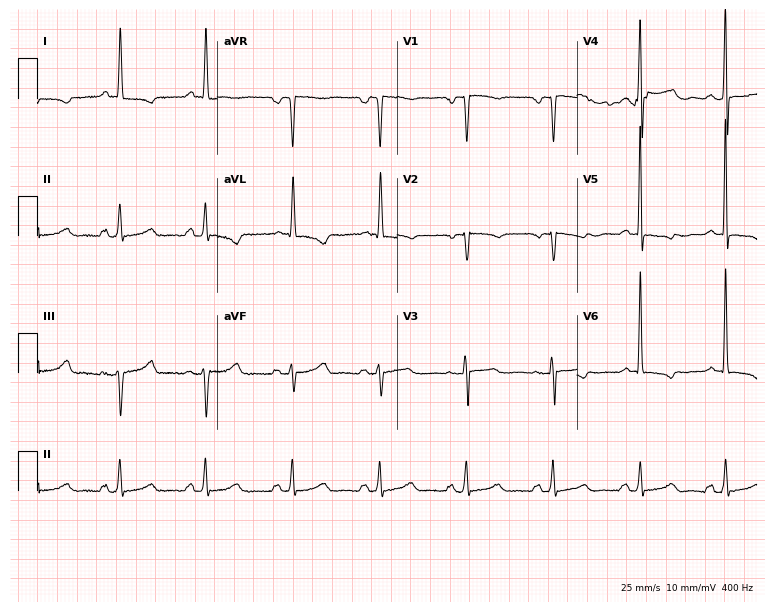
Resting 12-lead electrocardiogram. Patient: a 44-year-old female. None of these six findings is recorded: first-degree AV block, right bundle branch block (RBBB), left bundle branch block (LBBB), sinus bradycardia, atrial fibrillation (AF), sinus tachycardia. Findings outside these six are not listed.